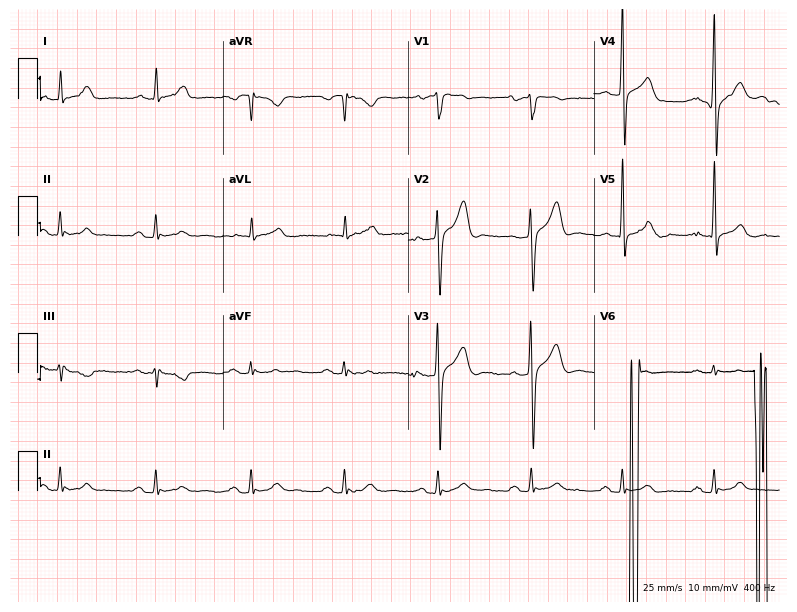
Standard 12-lead ECG recorded from a 57-year-old male (7.6-second recording at 400 Hz). None of these six findings is recorded: first-degree AV block, right bundle branch block, left bundle branch block, sinus bradycardia, atrial fibrillation, sinus tachycardia. Findings outside these six are not listed.